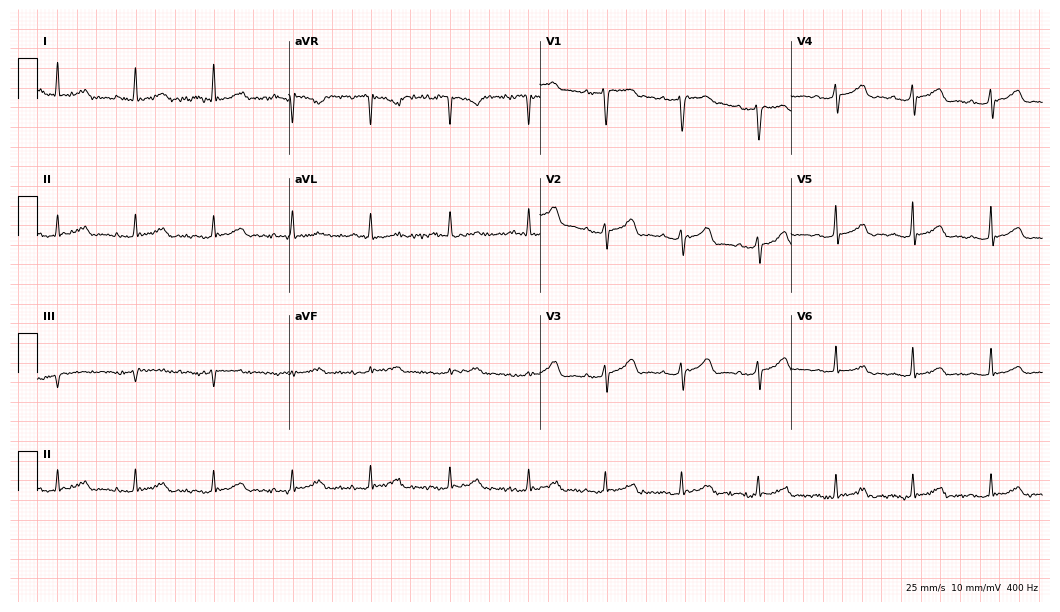
ECG — a female patient, 68 years old. Labelled as a normal ECG.